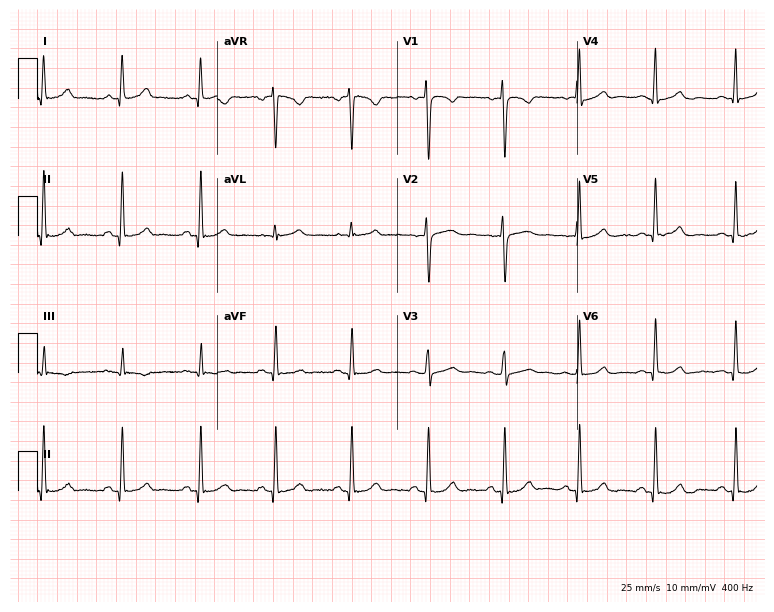
12-lead ECG (7.3-second recording at 400 Hz) from a female, 35 years old. Screened for six findings — first-degree AV block, right bundle branch block, left bundle branch block, sinus bradycardia, atrial fibrillation, sinus tachycardia — none is recorded.